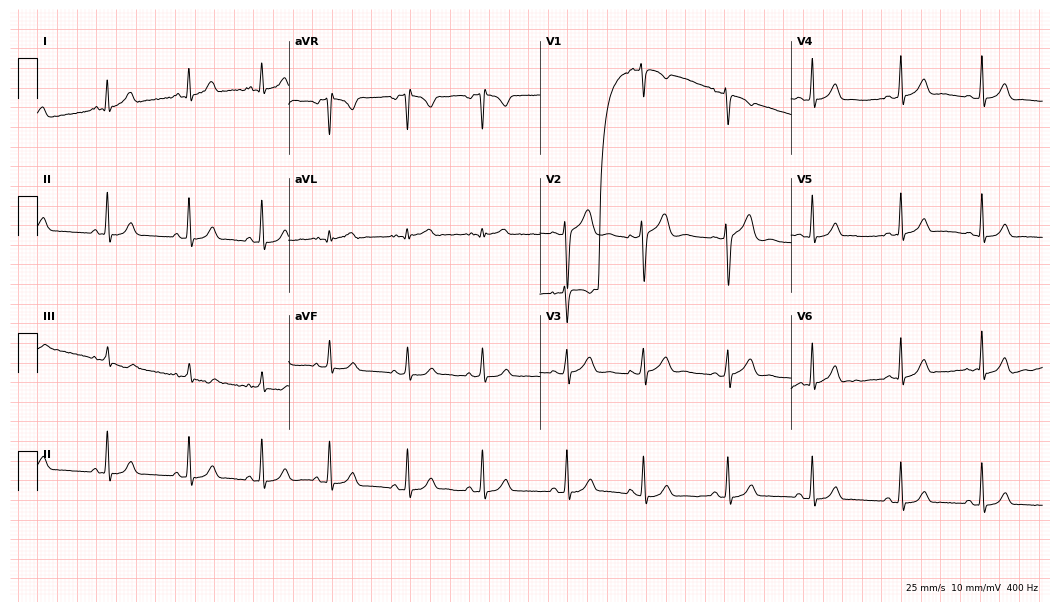
Resting 12-lead electrocardiogram (10.2-second recording at 400 Hz). Patient: a 17-year-old female. Read as a normal ECG.